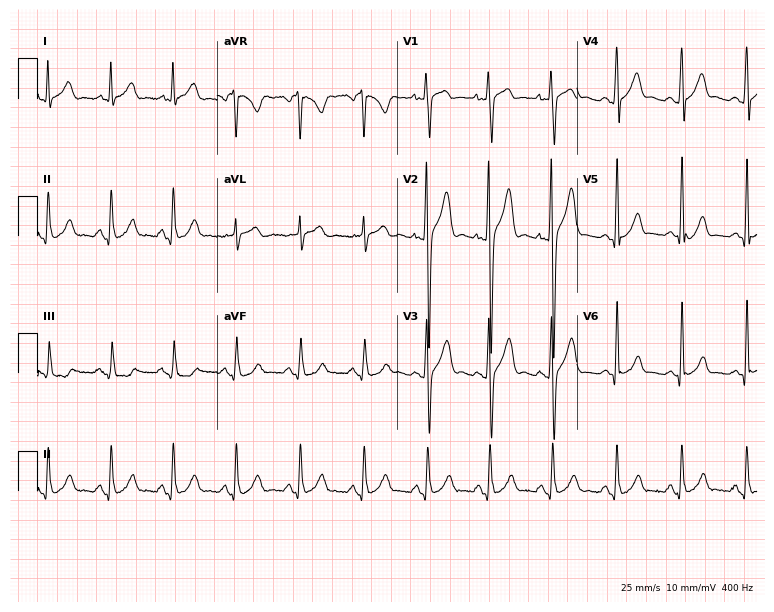
Electrocardiogram, a man, 19 years old. Overall reading on record: normal ECG.